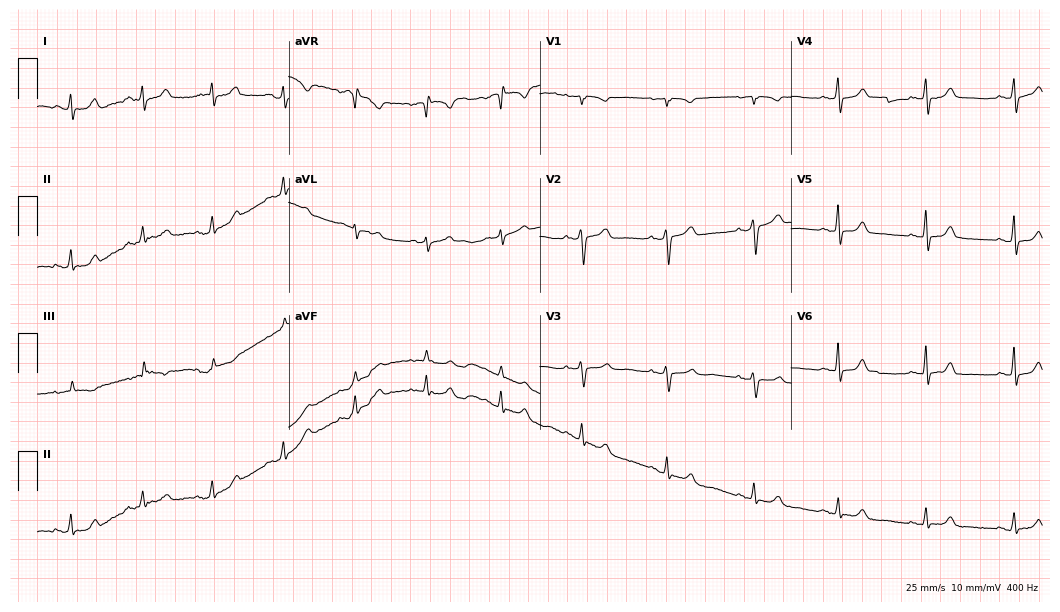
12-lead ECG (10.2-second recording at 400 Hz) from a 42-year-old female. Labelled as a normal ECG.